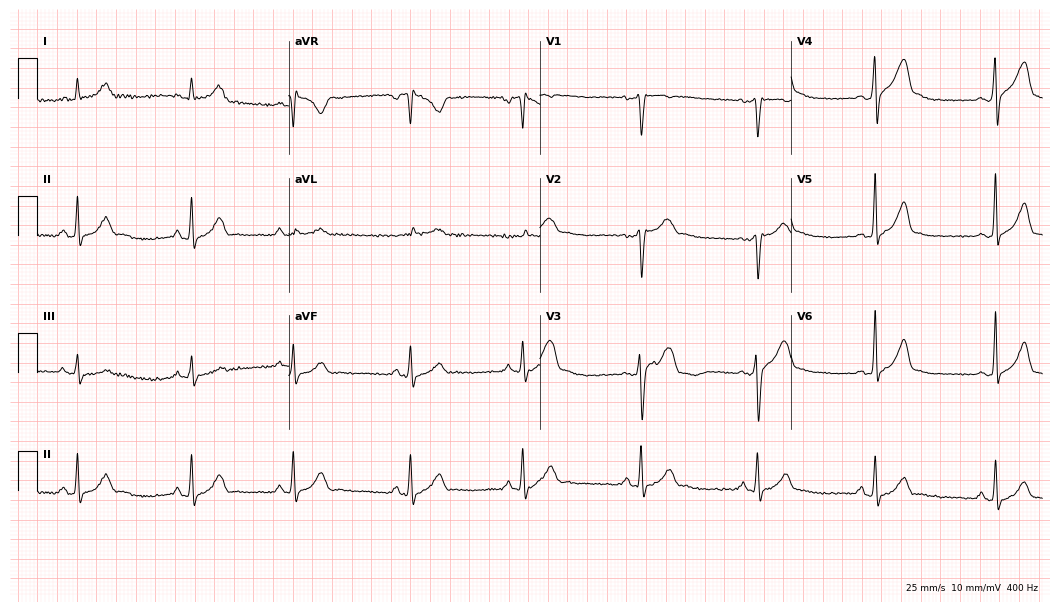
ECG (10.2-second recording at 400 Hz) — a man, 40 years old. Labelled as a normal ECG.